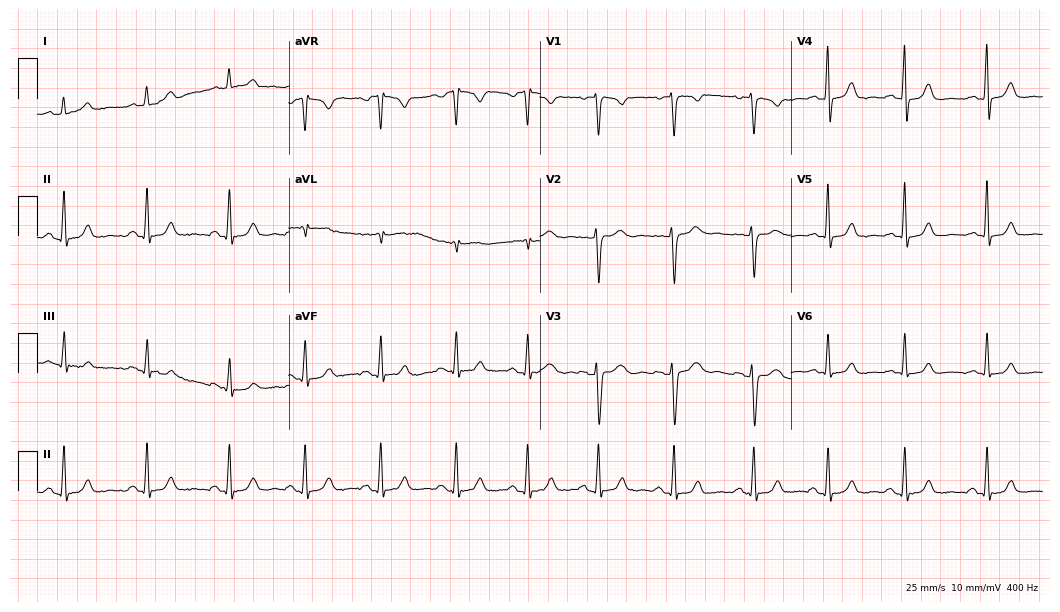
12-lead ECG (10.2-second recording at 400 Hz) from a female patient, 31 years old. Labelled as a normal ECG.